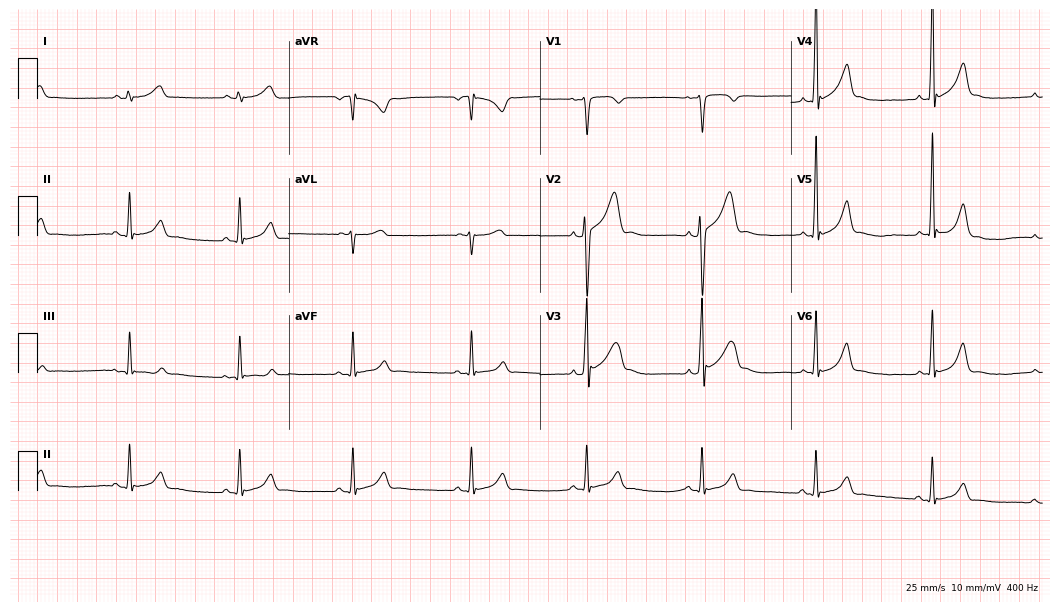
ECG — a man, 27 years old. Screened for six findings — first-degree AV block, right bundle branch block (RBBB), left bundle branch block (LBBB), sinus bradycardia, atrial fibrillation (AF), sinus tachycardia — none is recorded. Other findings, if any, are not listed.